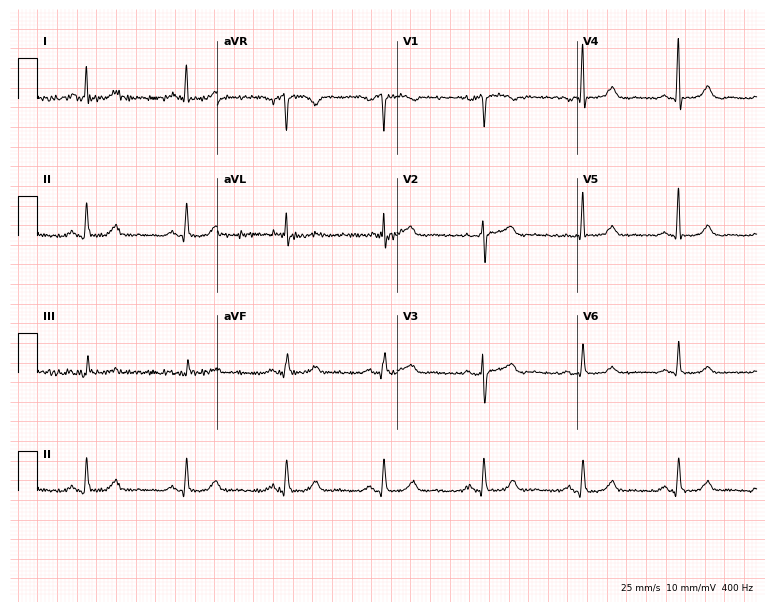
12-lead ECG from a female, 59 years old. Recorded interpretation: within normal limits.